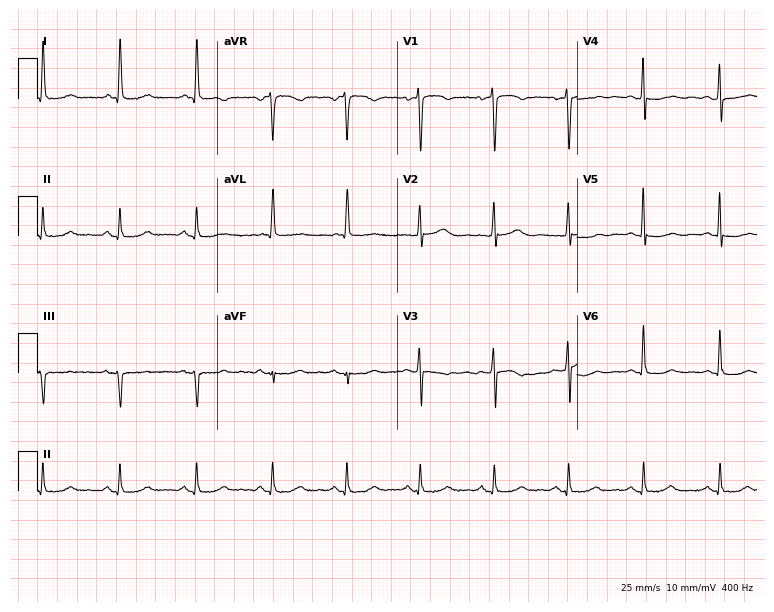
Standard 12-lead ECG recorded from an 80-year-old woman. None of these six findings is recorded: first-degree AV block, right bundle branch block (RBBB), left bundle branch block (LBBB), sinus bradycardia, atrial fibrillation (AF), sinus tachycardia.